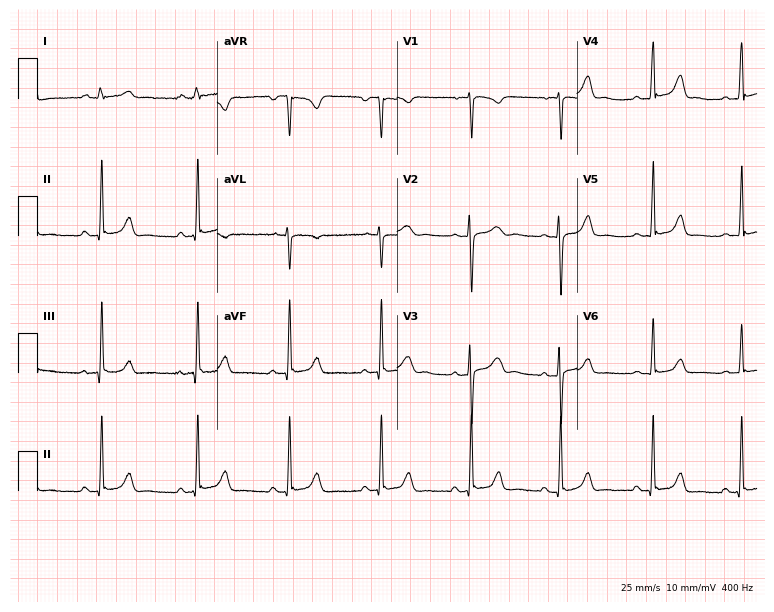
Electrocardiogram (7.3-second recording at 400 Hz), a 25-year-old woman. Overall reading on record: normal ECG.